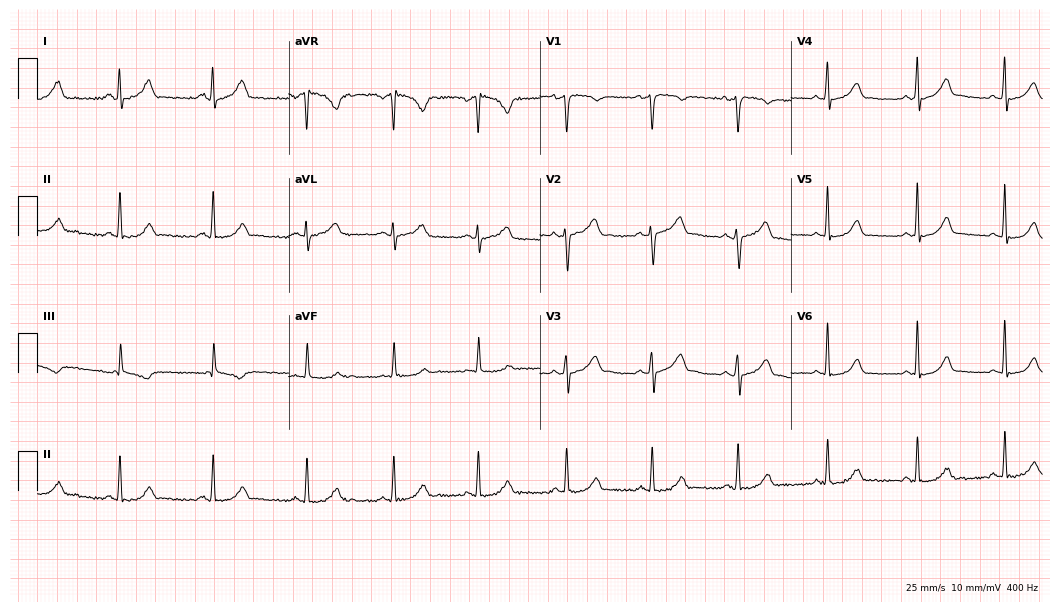
Standard 12-lead ECG recorded from a 24-year-old female patient. Read as a normal ECG.